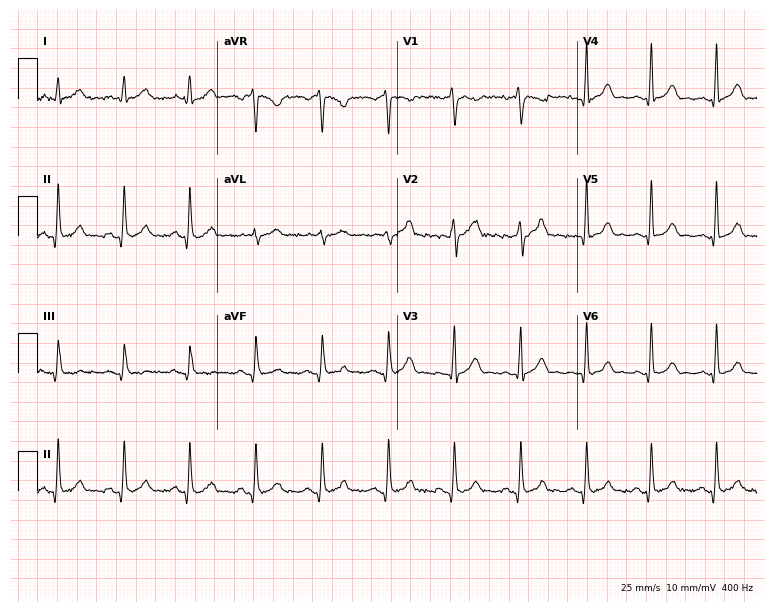
Electrocardiogram, a 28-year-old man. Overall reading on record: normal ECG.